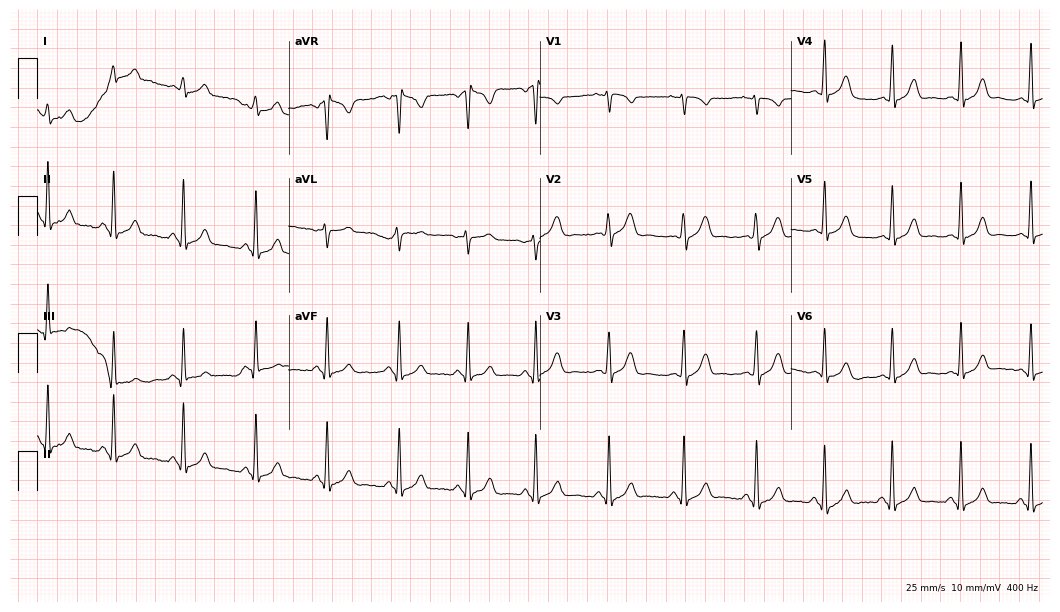
12-lead ECG from a female, 22 years old. Recorded interpretation: within normal limits.